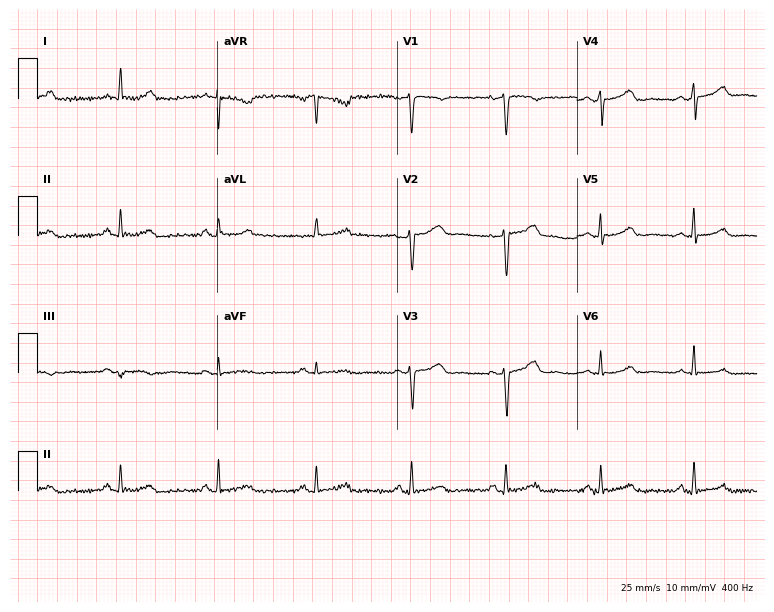
12-lead ECG (7.3-second recording at 400 Hz) from a 41-year-old female. Labelled as a normal ECG.